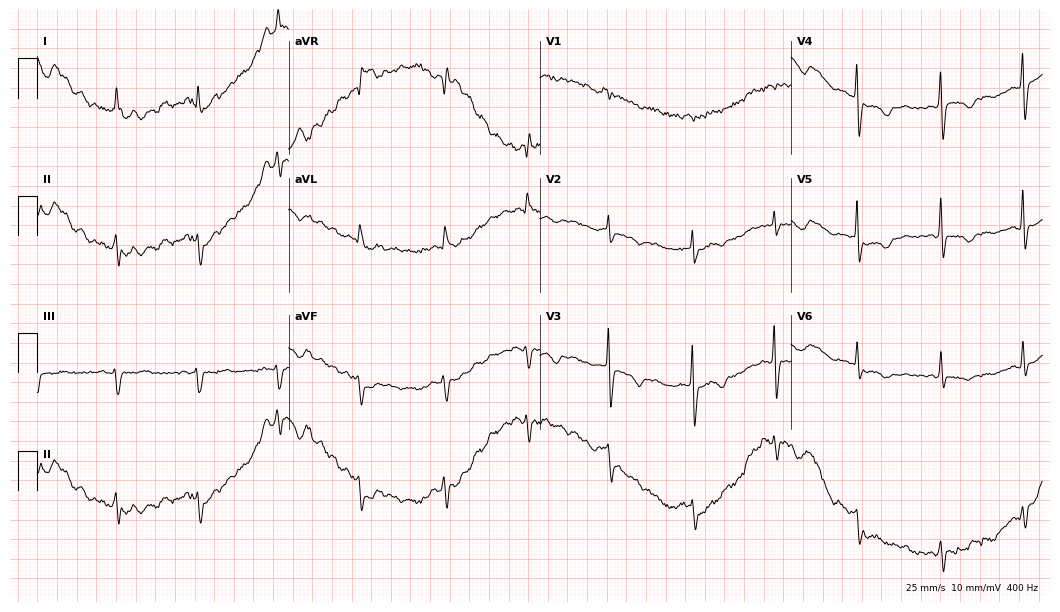
Resting 12-lead electrocardiogram (10.2-second recording at 400 Hz). Patient: a 70-year-old female. None of these six findings is recorded: first-degree AV block, right bundle branch block, left bundle branch block, sinus bradycardia, atrial fibrillation, sinus tachycardia. Other findings, if any, are not listed.